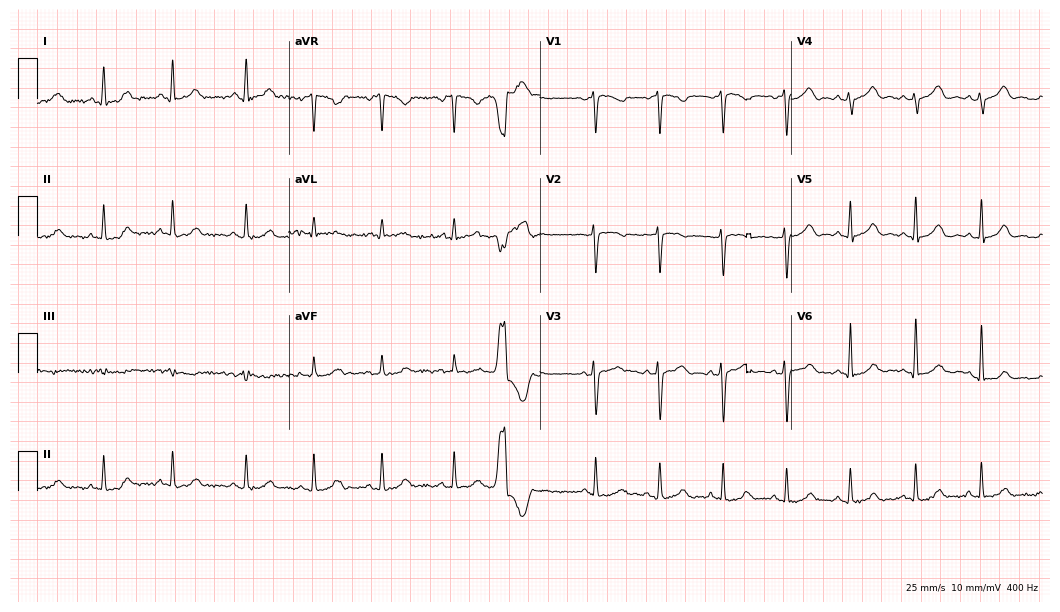
Standard 12-lead ECG recorded from a 29-year-old woman. None of these six findings is recorded: first-degree AV block, right bundle branch block, left bundle branch block, sinus bradycardia, atrial fibrillation, sinus tachycardia. Only these six findings were labelled.